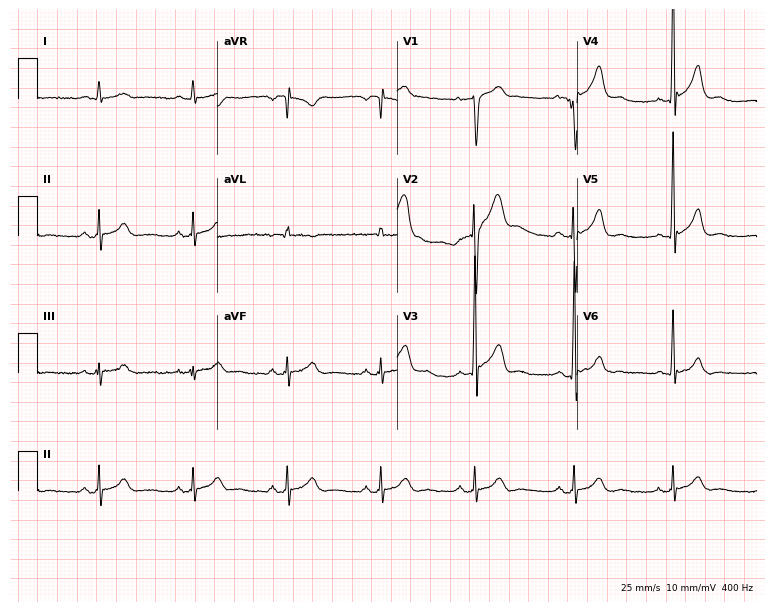
Standard 12-lead ECG recorded from a male patient, 42 years old. Read as a normal ECG.